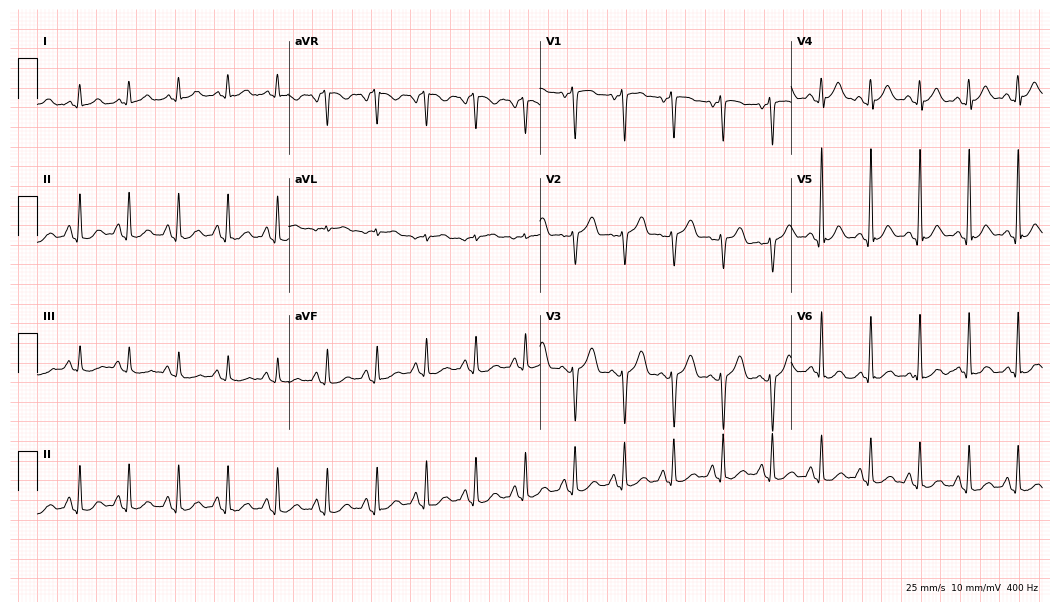
12-lead ECG from a woman, 48 years old. Shows sinus tachycardia (a sinus rate of 100 beats per minute or more).